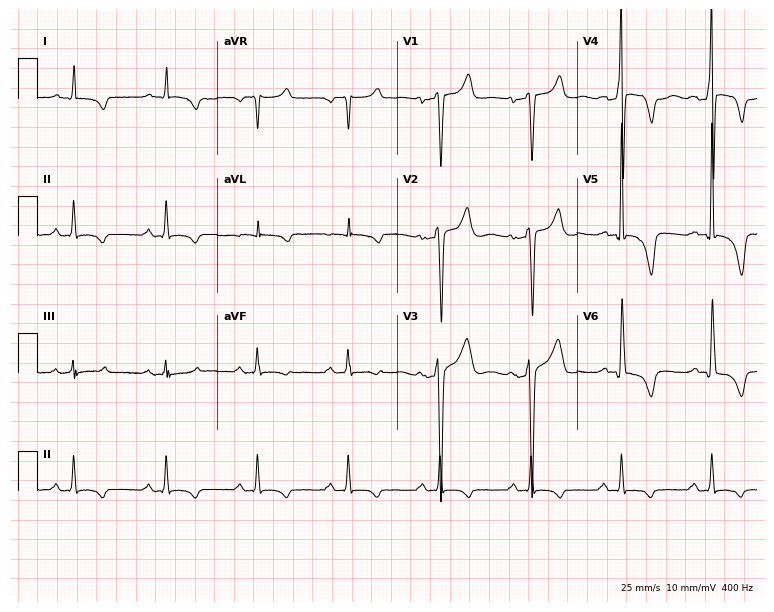
Electrocardiogram (7.3-second recording at 400 Hz), a male, 29 years old. Of the six screened findings (first-degree AV block, right bundle branch block, left bundle branch block, sinus bradycardia, atrial fibrillation, sinus tachycardia), none is recorded. Findings outside these six are not listed.